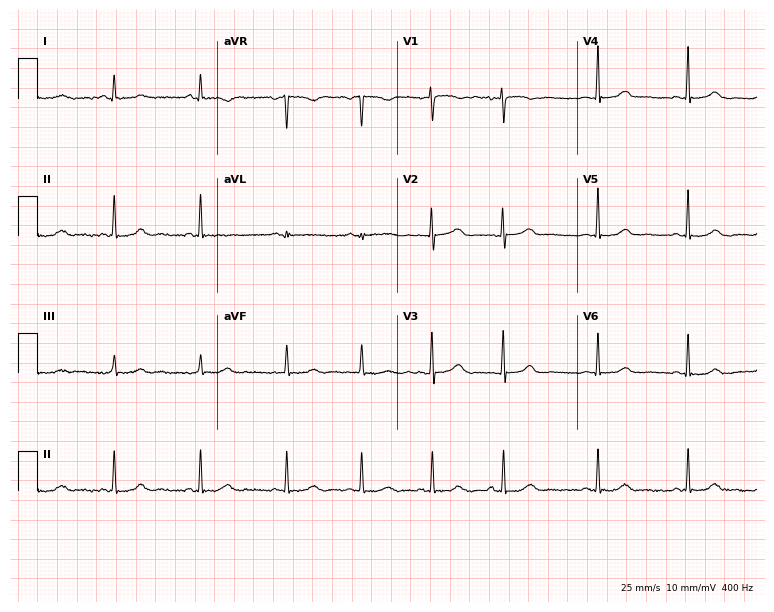
Resting 12-lead electrocardiogram (7.3-second recording at 400 Hz). Patient: a female, 22 years old. Read as a normal ECG.